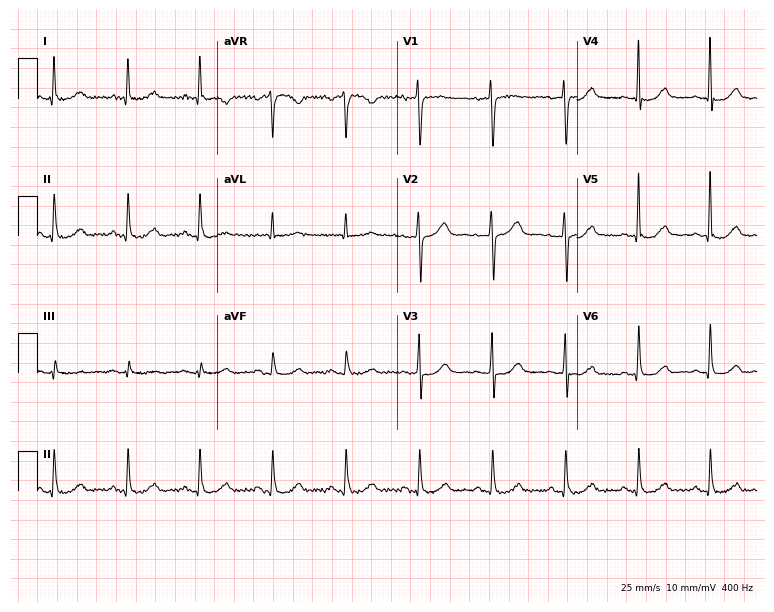
Standard 12-lead ECG recorded from a female, 63 years old (7.3-second recording at 400 Hz). None of these six findings is recorded: first-degree AV block, right bundle branch block, left bundle branch block, sinus bradycardia, atrial fibrillation, sinus tachycardia.